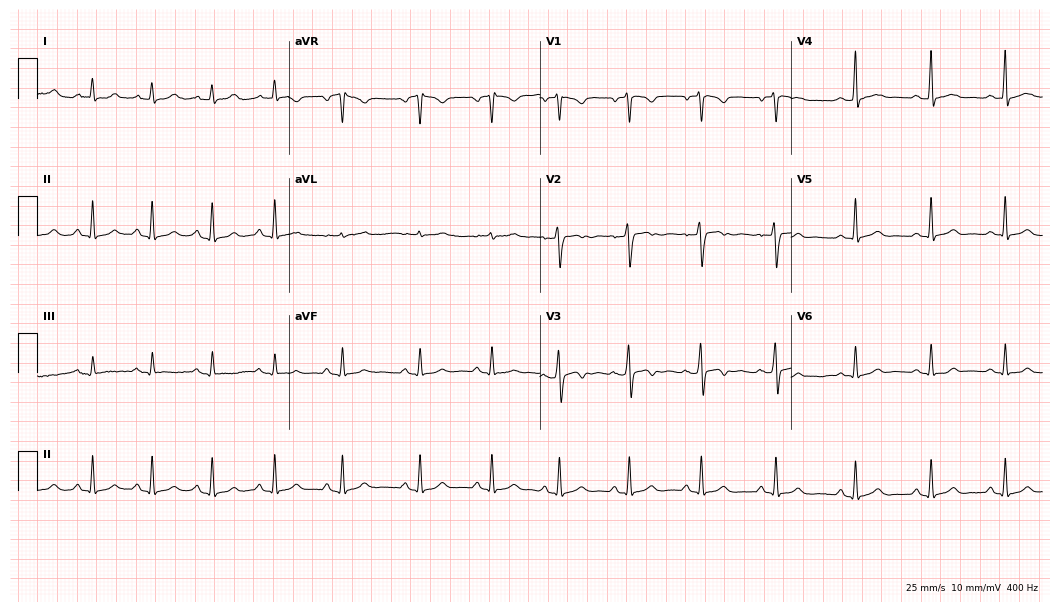
Electrocardiogram, a 23-year-old female patient. Overall reading on record: normal ECG.